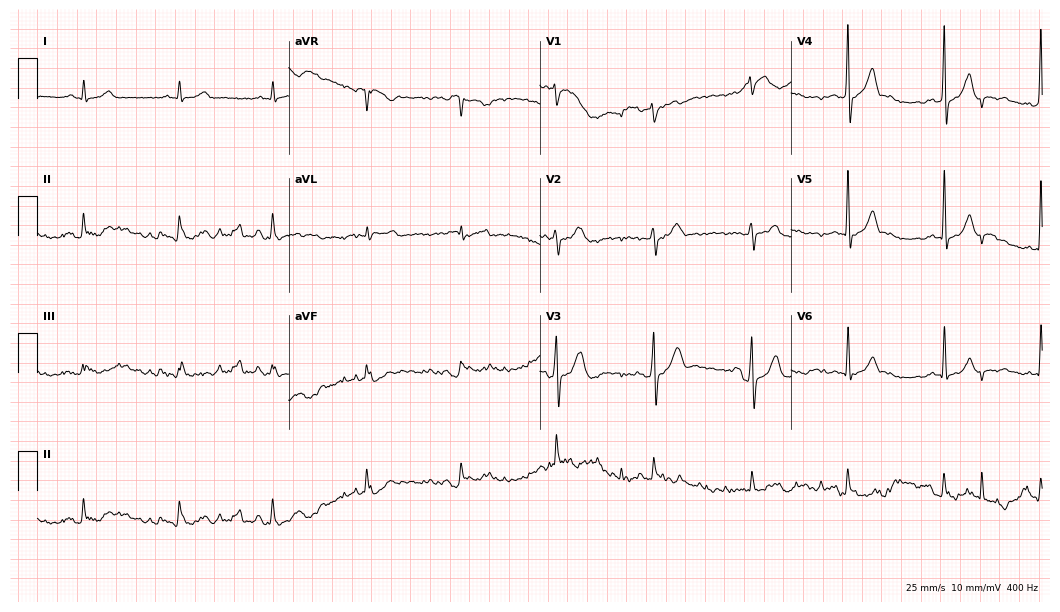
Resting 12-lead electrocardiogram (10.2-second recording at 400 Hz). Patient: a 73-year-old male. None of these six findings is recorded: first-degree AV block, right bundle branch block, left bundle branch block, sinus bradycardia, atrial fibrillation, sinus tachycardia.